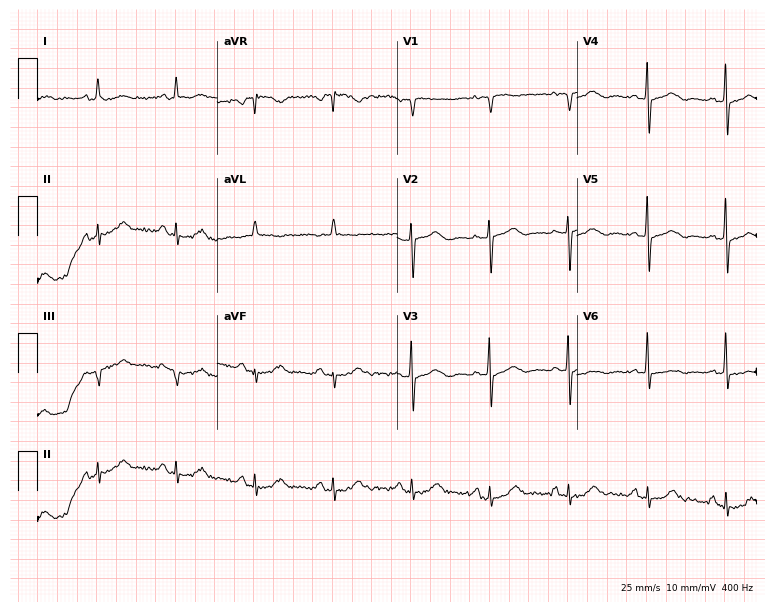
Resting 12-lead electrocardiogram. Patient: a 77-year-old female. None of these six findings is recorded: first-degree AV block, right bundle branch block (RBBB), left bundle branch block (LBBB), sinus bradycardia, atrial fibrillation (AF), sinus tachycardia. Findings outside these six are not listed.